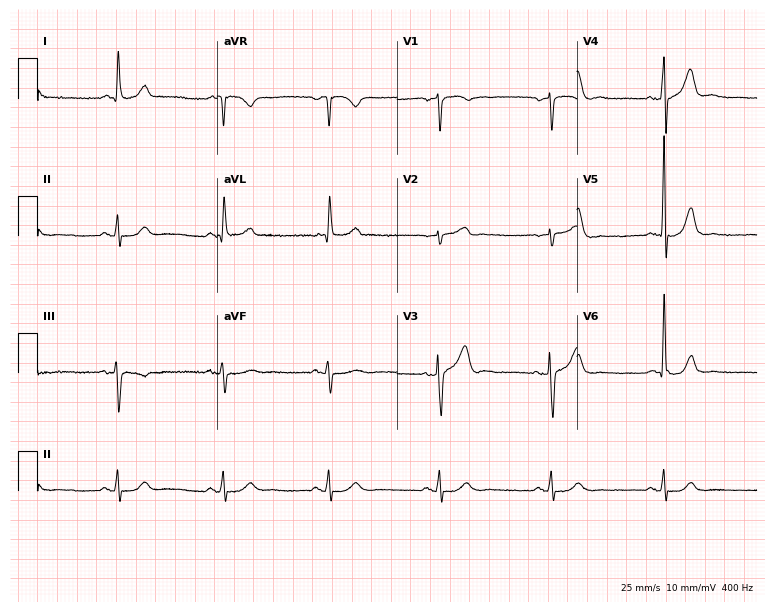
12-lead ECG from a male, 74 years old. Labelled as a normal ECG.